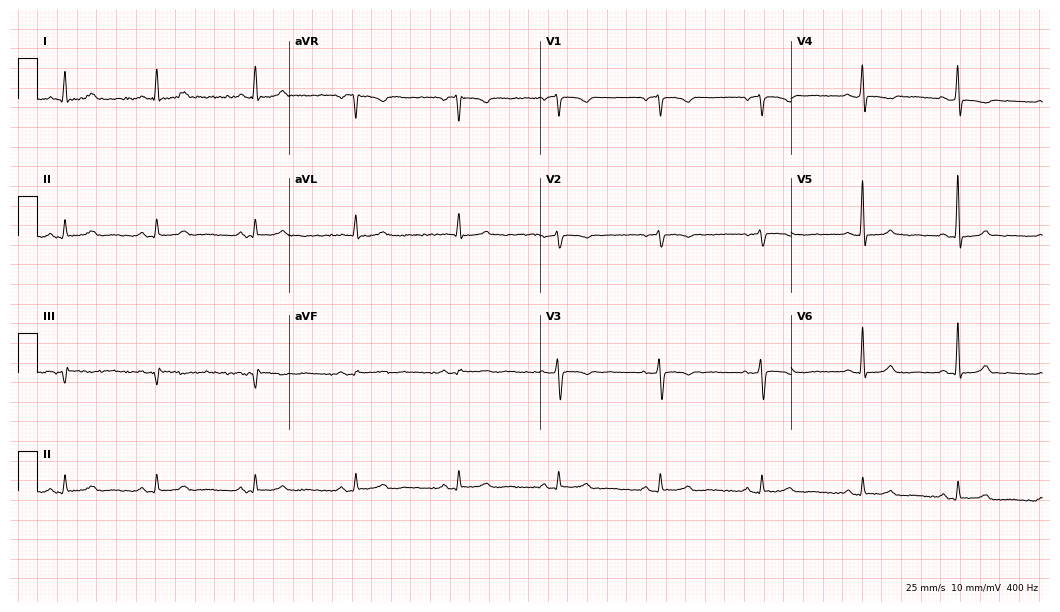
ECG — a woman, 66 years old. Screened for six findings — first-degree AV block, right bundle branch block (RBBB), left bundle branch block (LBBB), sinus bradycardia, atrial fibrillation (AF), sinus tachycardia — none is recorded. Only these six findings were labelled.